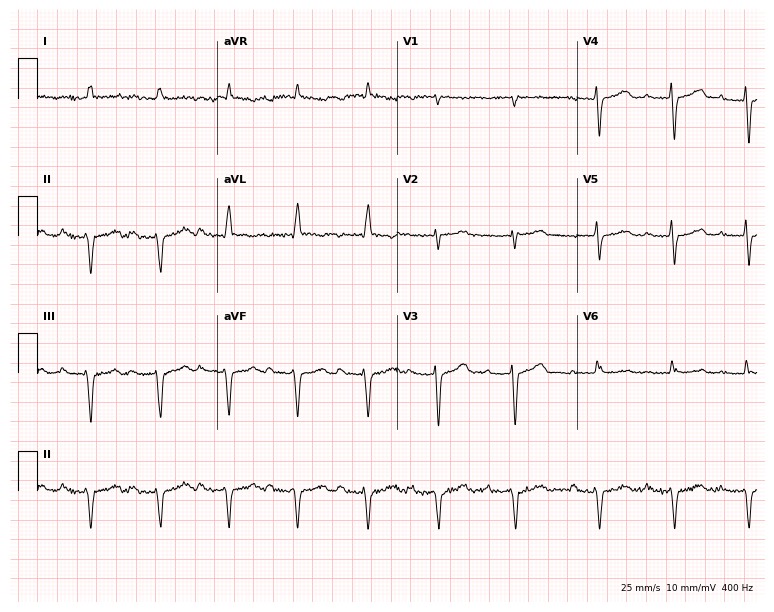
12-lead ECG from a man, 85 years old (7.3-second recording at 400 Hz). Shows first-degree AV block.